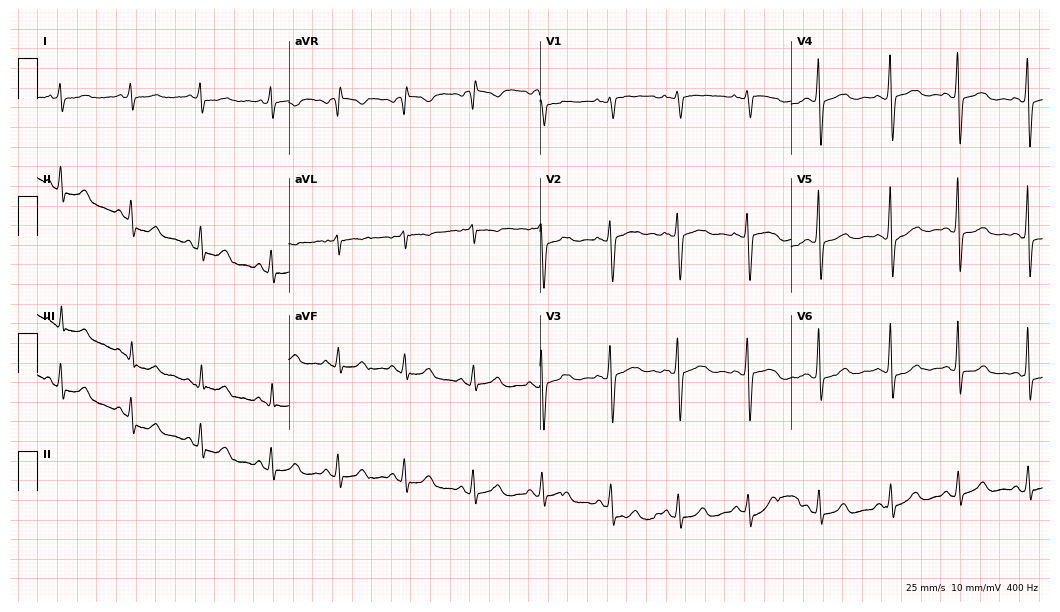
Electrocardiogram (10.2-second recording at 400 Hz), a 45-year-old woman. Overall reading on record: normal ECG.